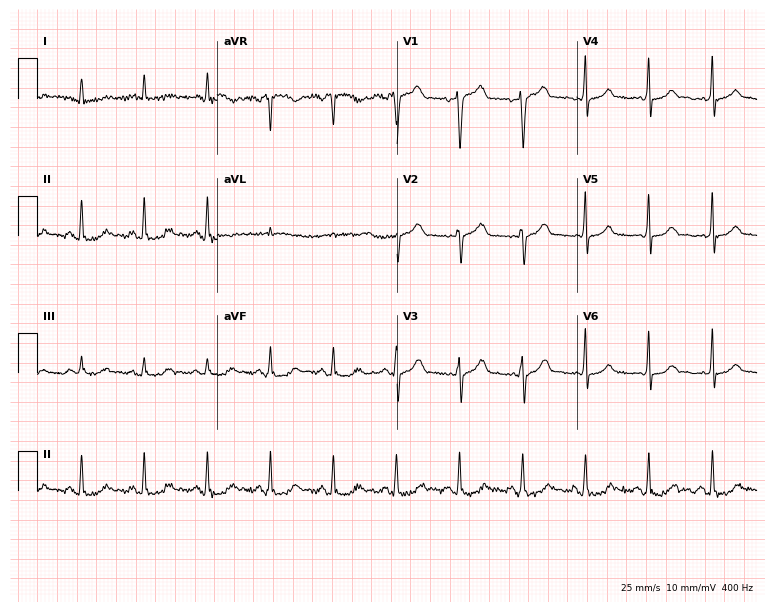
Resting 12-lead electrocardiogram. Patient: a man, 71 years old. None of these six findings is recorded: first-degree AV block, right bundle branch block, left bundle branch block, sinus bradycardia, atrial fibrillation, sinus tachycardia.